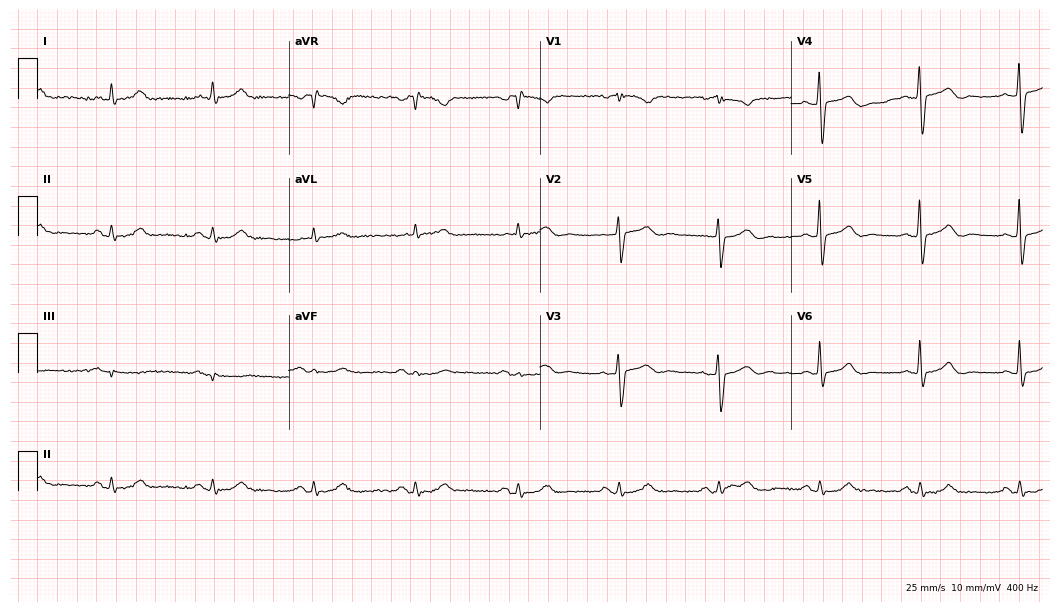
Resting 12-lead electrocardiogram (10.2-second recording at 400 Hz). Patient: a 68-year-old male. Read as a normal ECG.